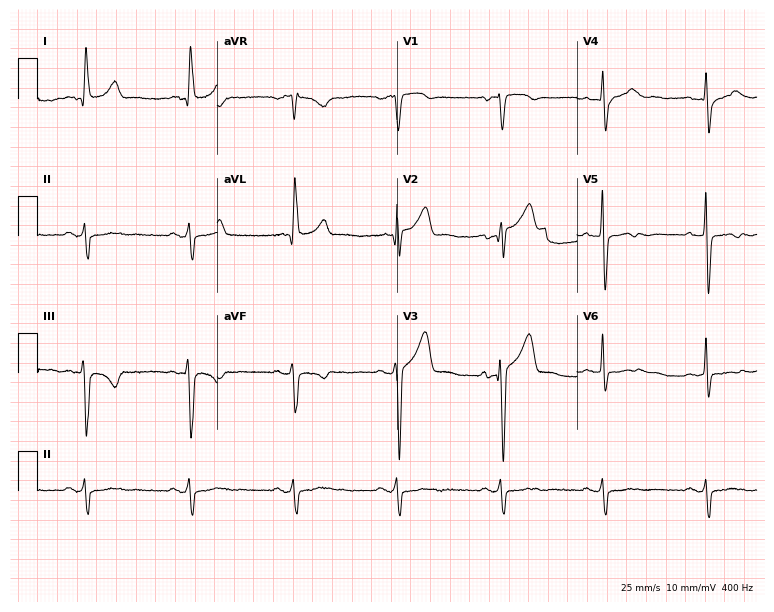
Standard 12-lead ECG recorded from a 59-year-old male (7.3-second recording at 400 Hz). None of these six findings is recorded: first-degree AV block, right bundle branch block (RBBB), left bundle branch block (LBBB), sinus bradycardia, atrial fibrillation (AF), sinus tachycardia.